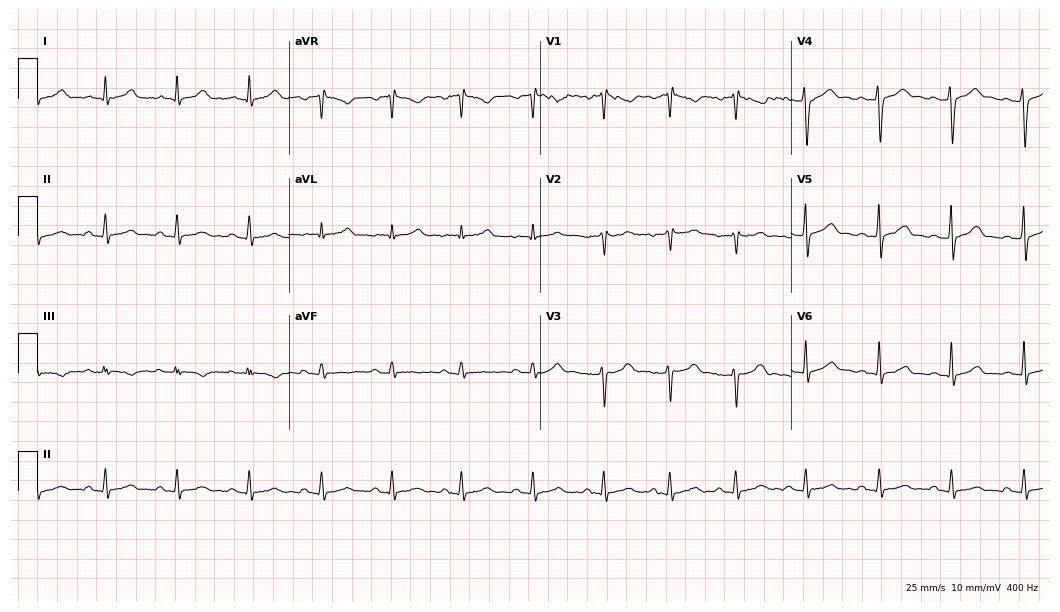
12-lead ECG (10.2-second recording at 400 Hz) from a 21-year-old male. Screened for six findings — first-degree AV block, right bundle branch block, left bundle branch block, sinus bradycardia, atrial fibrillation, sinus tachycardia — none is recorded.